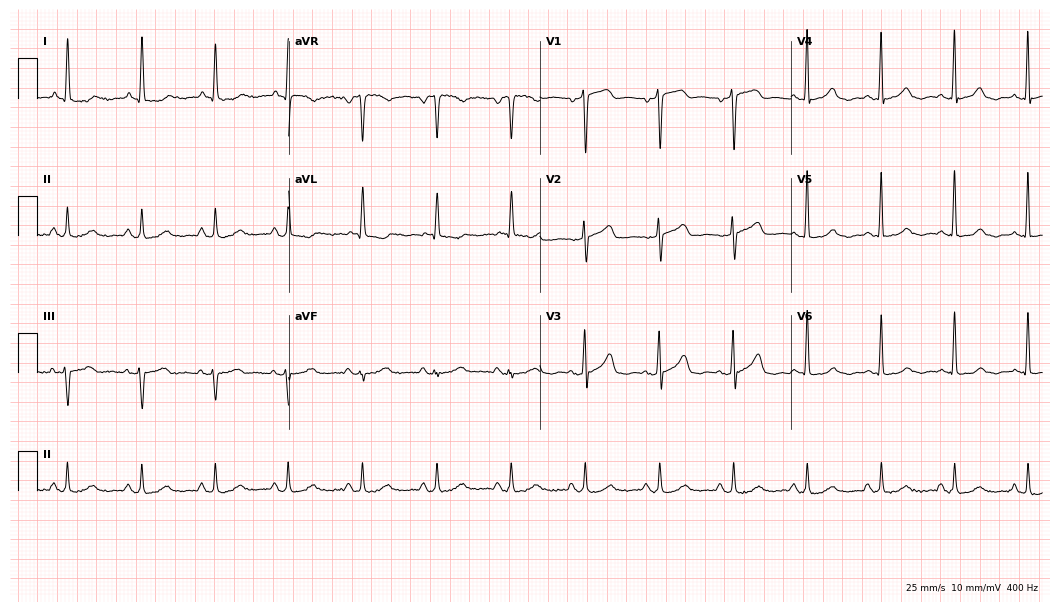
Resting 12-lead electrocardiogram. Patient: a woman, 63 years old. Read as a normal ECG.